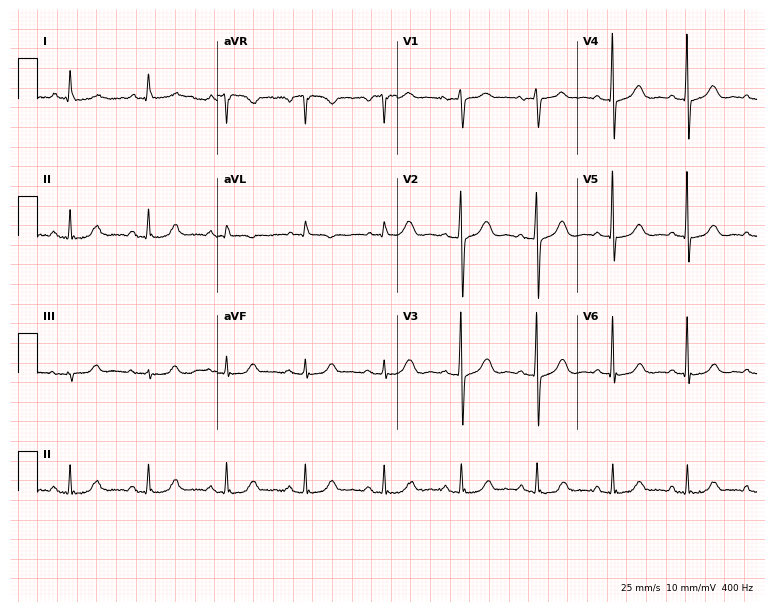
ECG — a 76-year-old female. Labelled as a normal ECG.